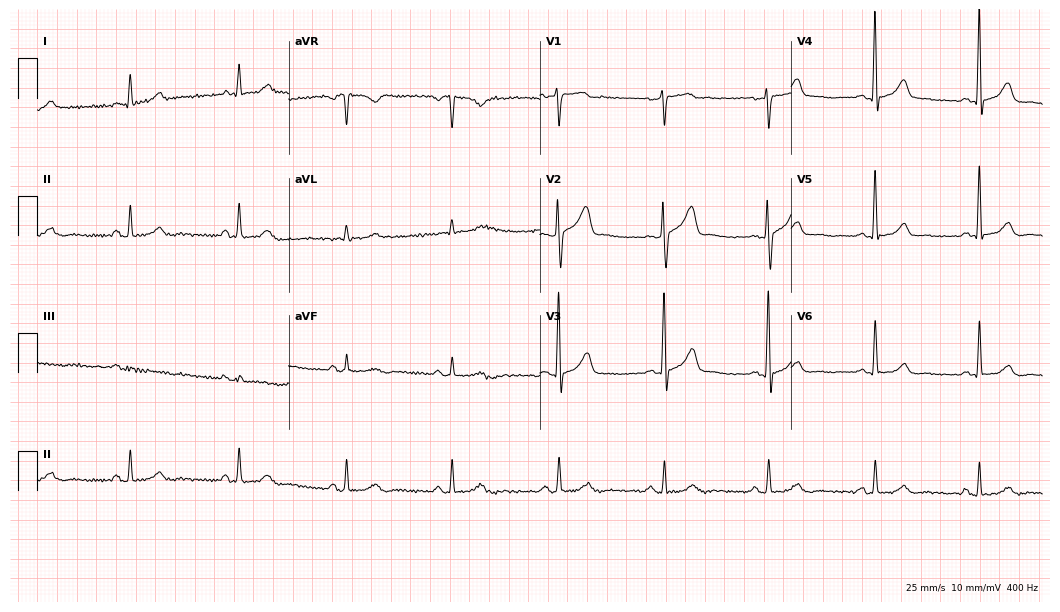
Resting 12-lead electrocardiogram. Patient: a male, 62 years old. Read as a normal ECG.